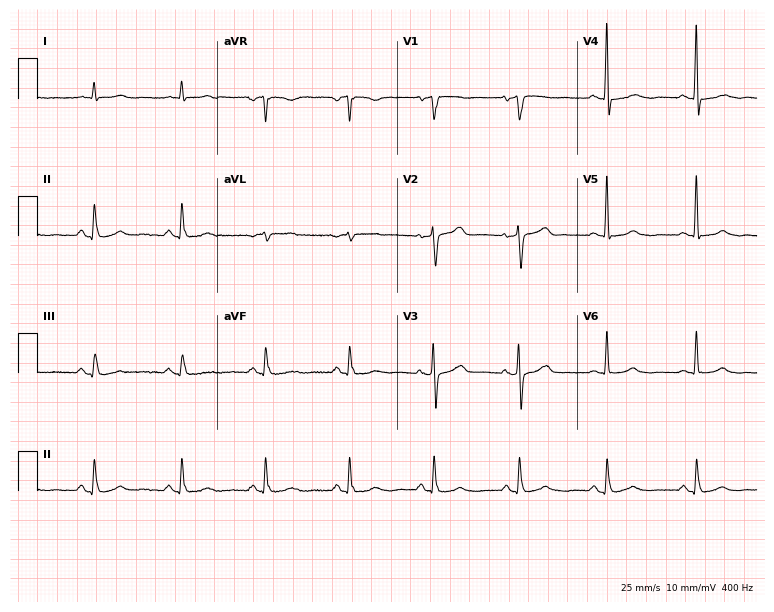
12-lead ECG (7.3-second recording at 400 Hz) from a male, 73 years old. Screened for six findings — first-degree AV block, right bundle branch block, left bundle branch block, sinus bradycardia, atrial fibrillation, sinus tachycardia — none is recorded. Findings outside these six are not listed.